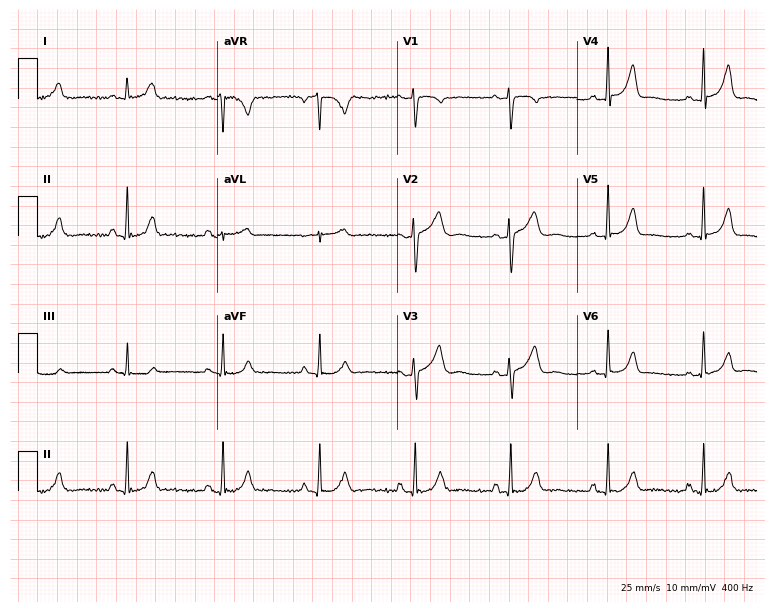
Electrocardiogram, a female, 41 years old. Of the six screened findings (first-degree AV block, right bundle branch block (RBBB), left bundle branch block (LBBB), sinus bradycardia, atrial fibrillation (AF), sinus tachycardia), none is recorded. Other findings, if any, are not listed.